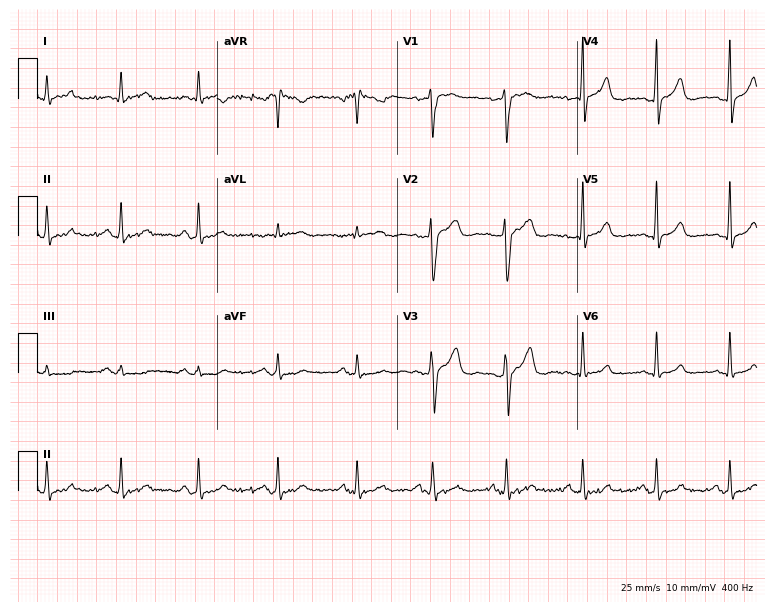
ECG — a 46-year-old man. Labelled as a normal ECG.